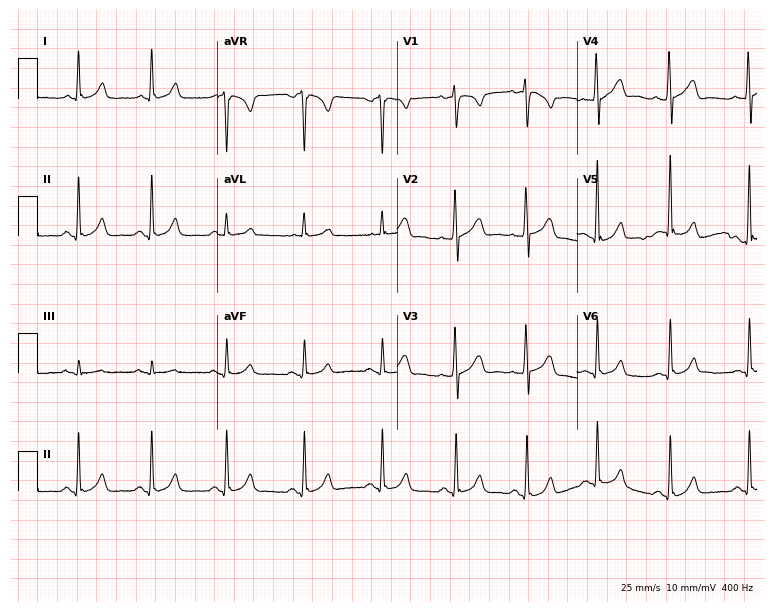
ECG — a 22-year-old female patient. Labelled as a normal ECG.